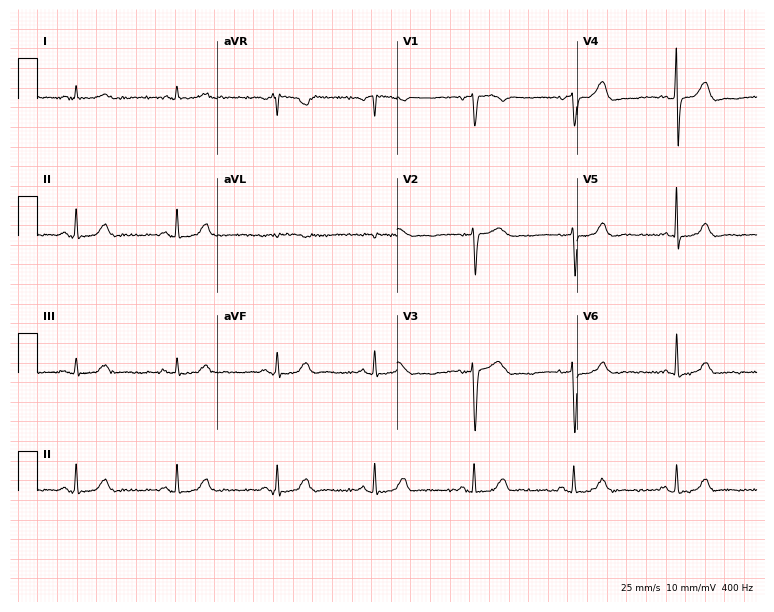
12-lead ECG from a 51-year-old male (7.3-second recording at 400 Hz). Recorded interpretation: within normal limits.